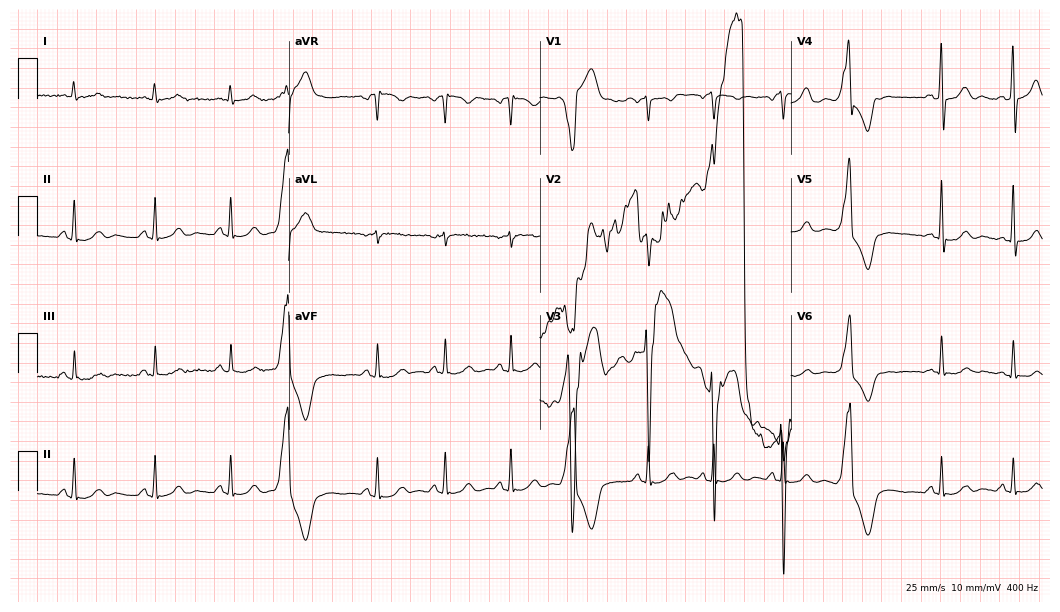
Resting 12-lead electrocardiogram (10.2-second recording at 400 Hz). Patient: a 32-year-old male. None of these six findings is recorded: first-degree AV block, right bundle branch block, left bundle branch block, sinus bradycardia, atrial fibrillation, sinus tachycardia. Findings outside these six are not listed.